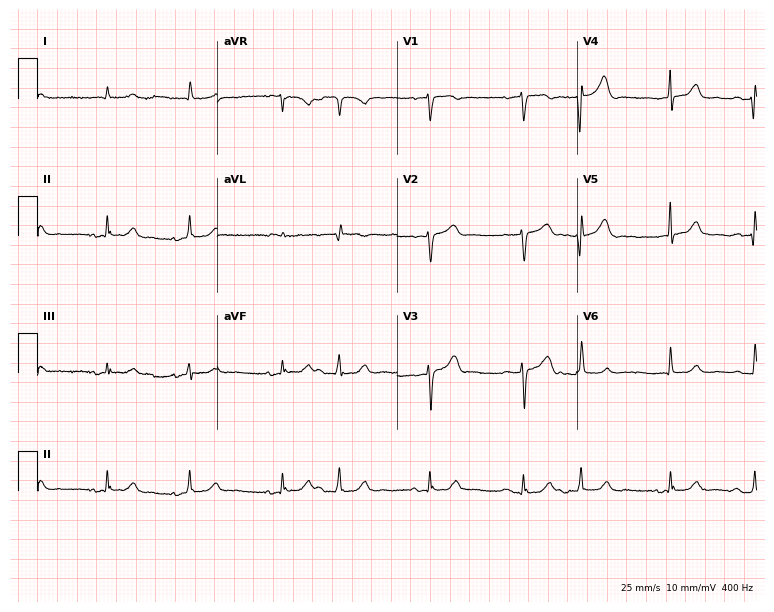
12-lead ECG from a 79-year-old male patient (7.3-second recording at 400 Hz). No first-degree AV block, right bundle branch block, left bundle branch block, sinus bradycardia, atrial fibrillation or sinus tachycardia recorded for this tracing. Other findings, if any, are not listed.